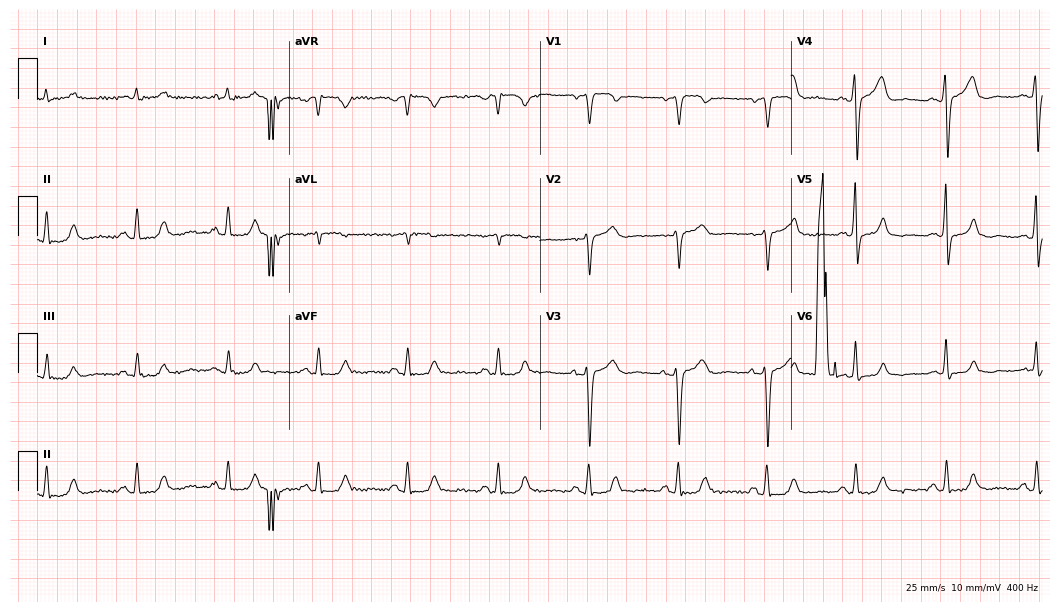
Resting 12-lead electrocardiogram (10.2-second recording at 400 Hz). Patient: a 75-year-old man. Read as a normal ECG.